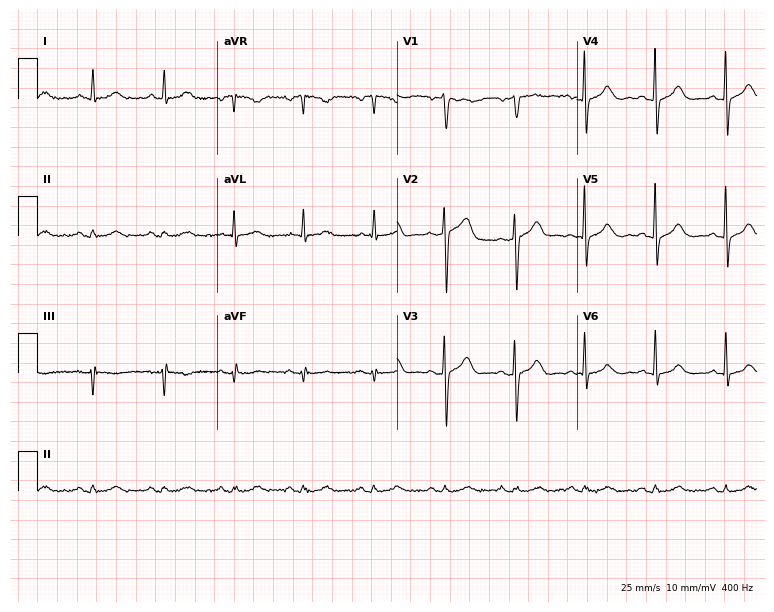
12-lead ECG from a male, 82 years old (7.3-second recording at 400 Hz). No first-degree AV block, right bundle branch block, left bundle branch block, sinus bradycardia, atrial fibrillation or sinus tachycardia recorded for this tracing.